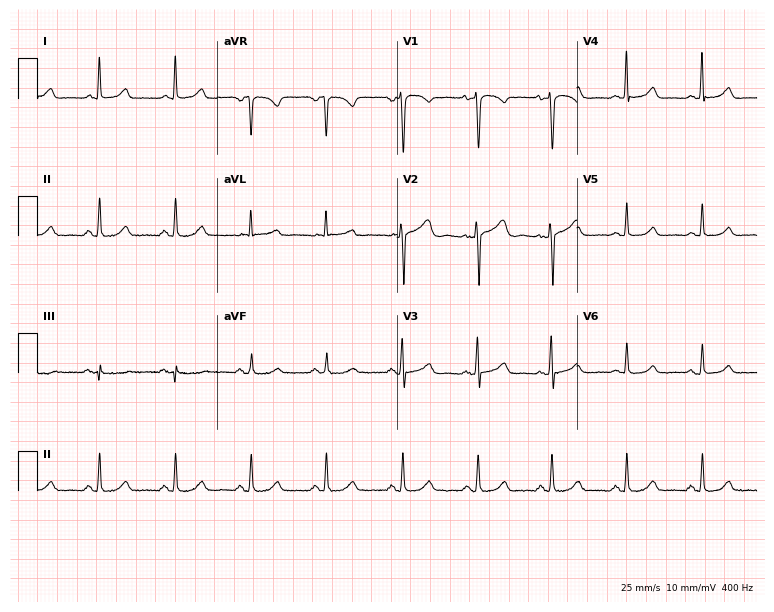
ECG — a 45-year-old female patient. Labelled as a normal ECG.